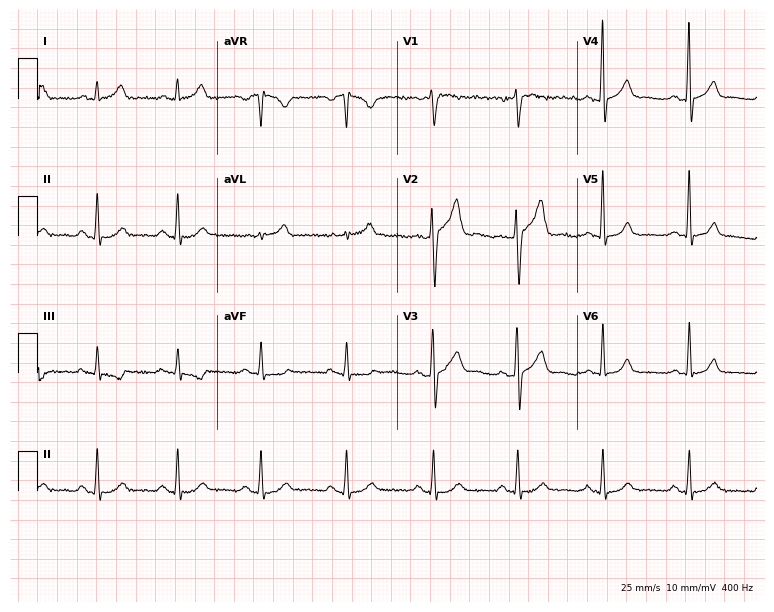
Electrocardiogram, a man, 30 years old. Overall reading on record: normal ECG.